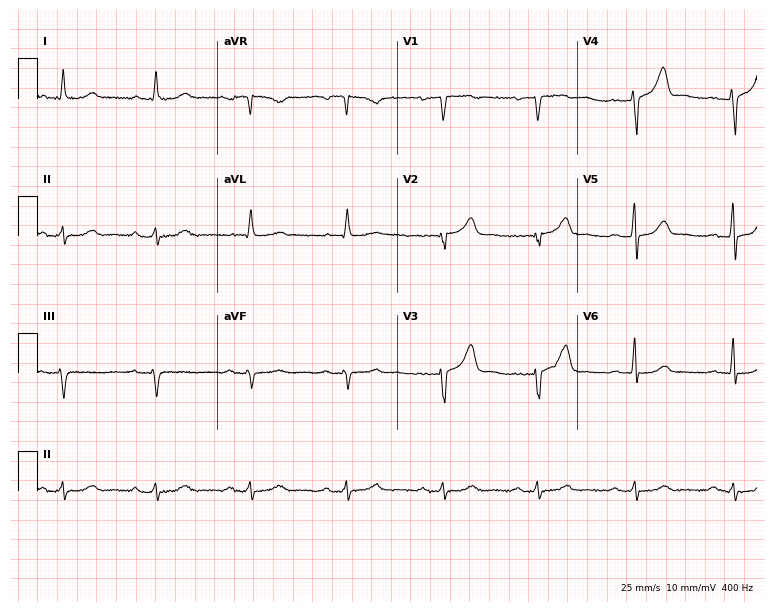
Electrocardiogram (7.3-second recording at 400 Hz), a 61-year-old man. Interpretation includes first-degree AV block.